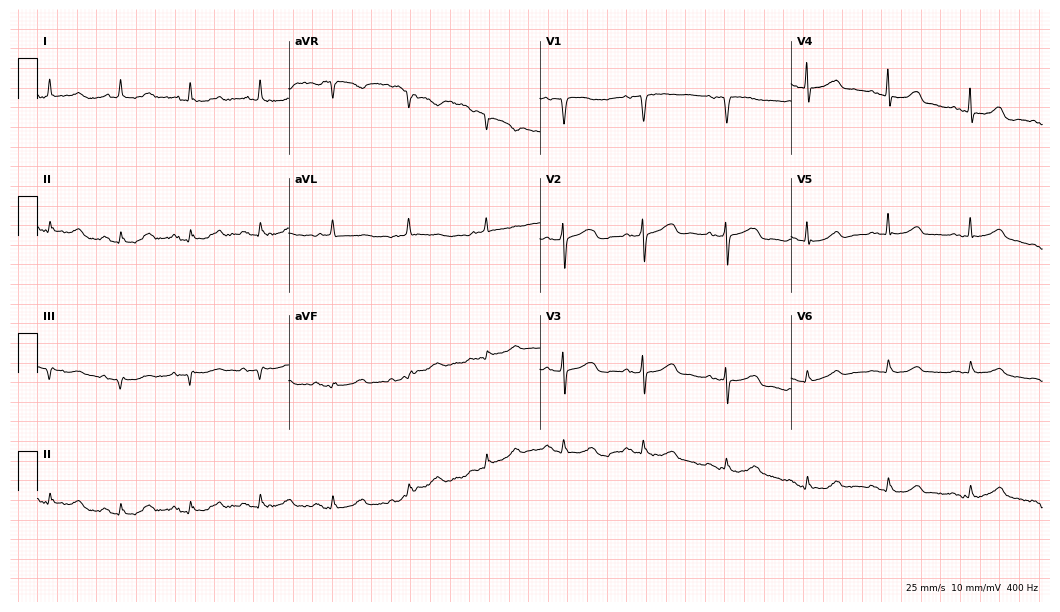
12-lead ECG from a female patient, 77 years old. Recorded interpretation: within normal limits.